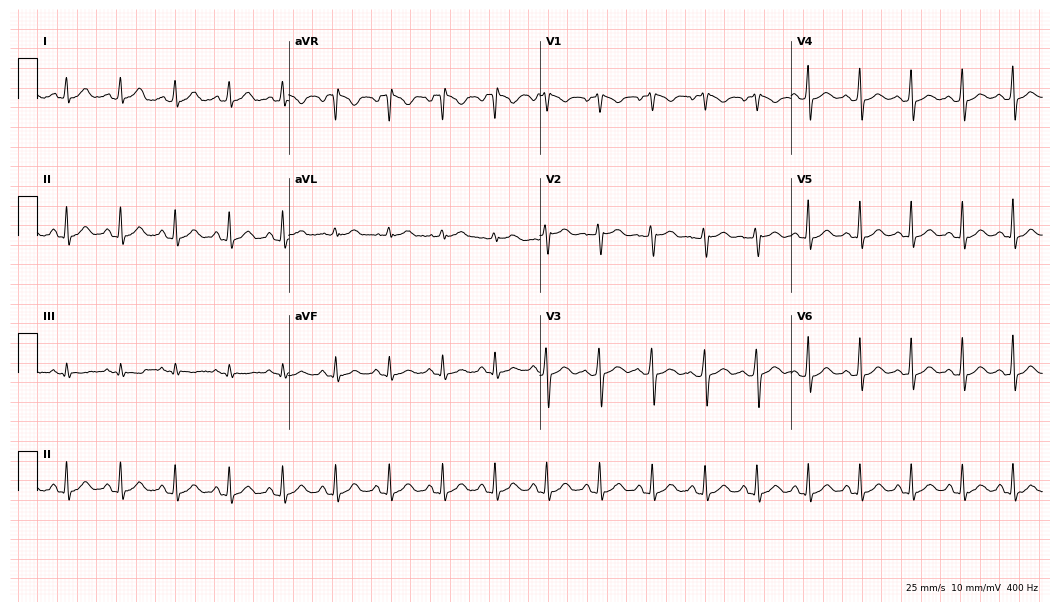
ECG (10.2-second recording at 400 Hz) — a woman, 39 years old. Findings include sinus tachycardia (a sinus rate of 100 beats per minute or more).